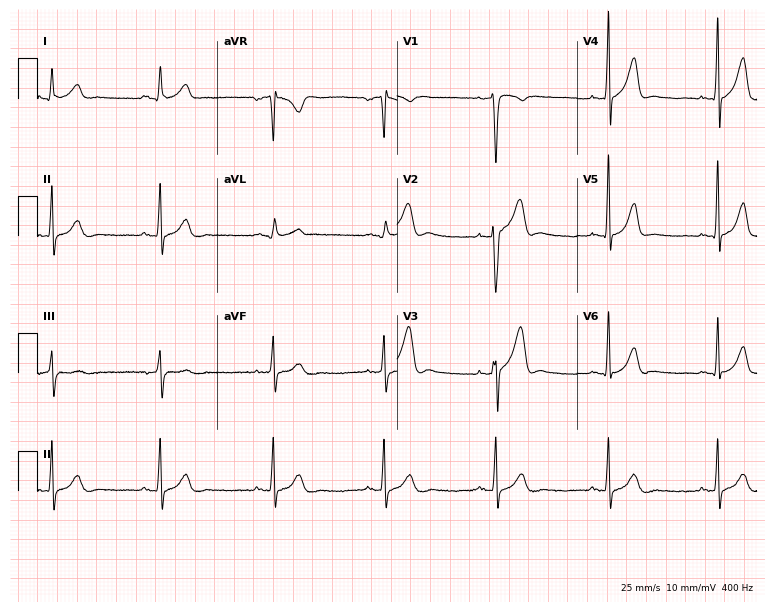
Resting 12-lead electrocardiogram. Patient: a male, 40 years old. None of these six findings is recorded: first-degree AV block, right bundle branch block (RBBB), left bundle branch block (LBBB), sinus bradycardia, atrial fibrillation (AF), sinus tachycardia.